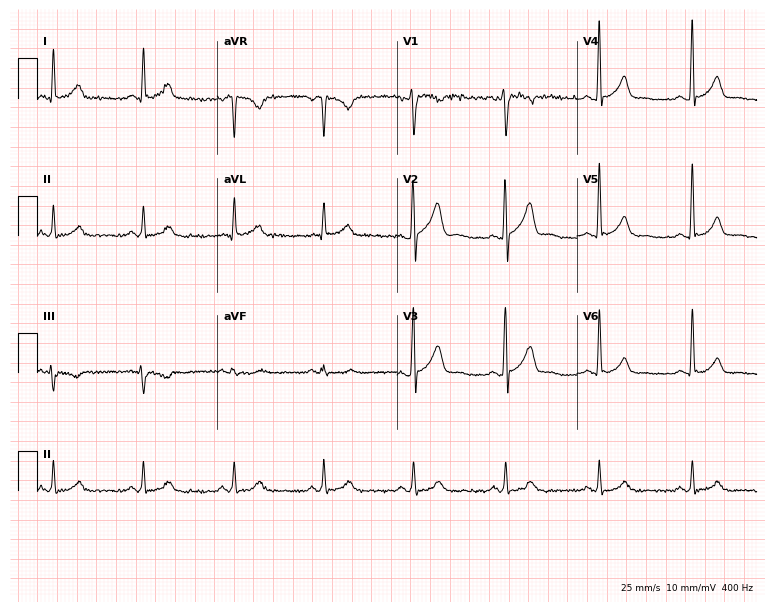
Standard 12-lead ECG recorded from a 51-year-old male. None of these six findings is recorded: first-degree AV block, right bundle branch block (RBBB), left bundle branch block (LBBB), sinus bradycardia, atrial fibrillation (AF), sinus tachycardia. Findings outside these six are not listed.